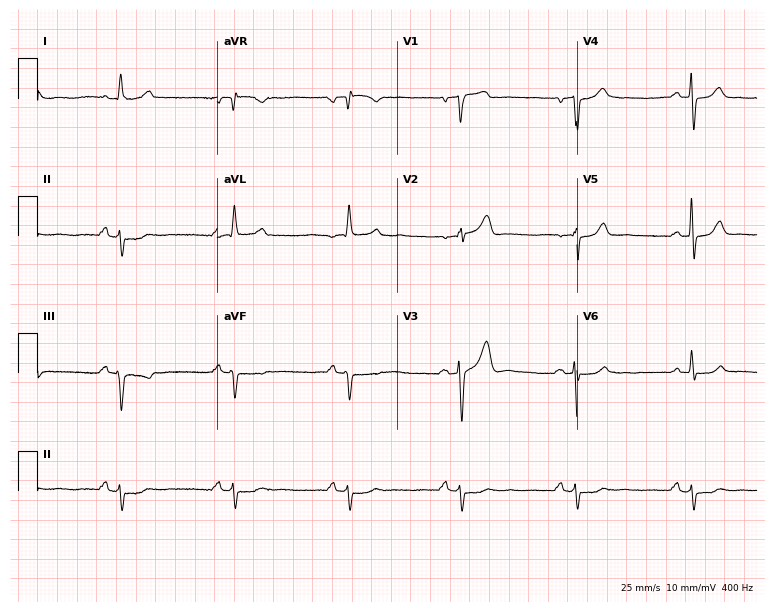
Electrocardiogram (7.3-second recording at 400 Hz), a male, 59 years old. Of the six screened findings (first-degree AV block, right bundle branch block (RBBB), left bundle branch block (LBBB), sinus bradycardia, atrial fibrillation (AF), sinus tachycardia), none is recorded. Only these six findings were labelled.